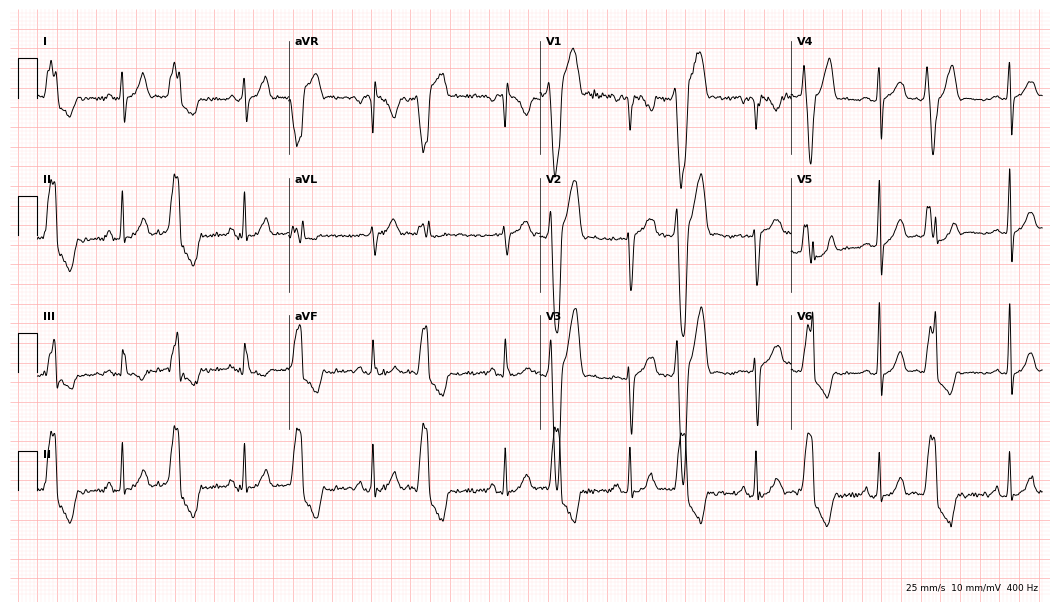
Electrocardiogram (10.2-second recording at 400 Hz), a male, 30 years old. Of the six screened findings (first-degree AV block, right bundle branch block, left bundle branch block, sinus bradycardia, atrial fibrillation, sinus tachycardia), none is recorded. Findings outside these six are not listed.